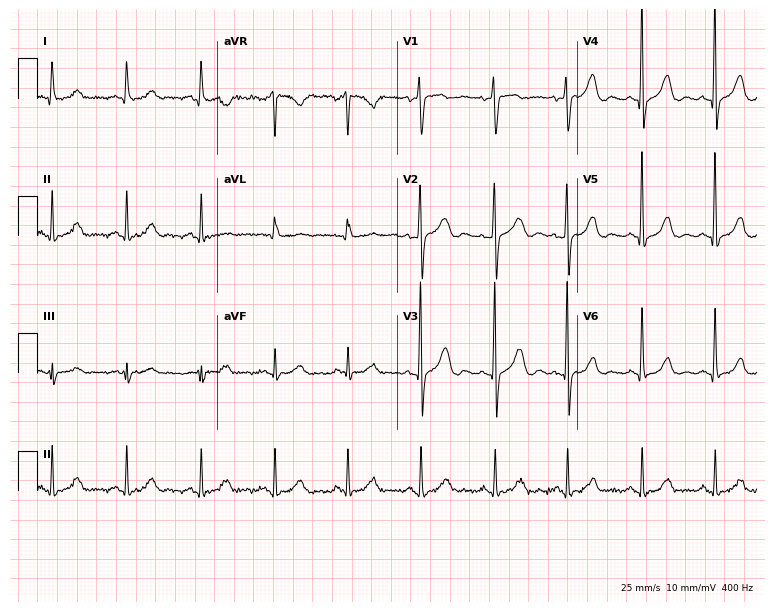
12-lead ECG from a 46-year-old woman. Recorded interpretation: within normal limits.